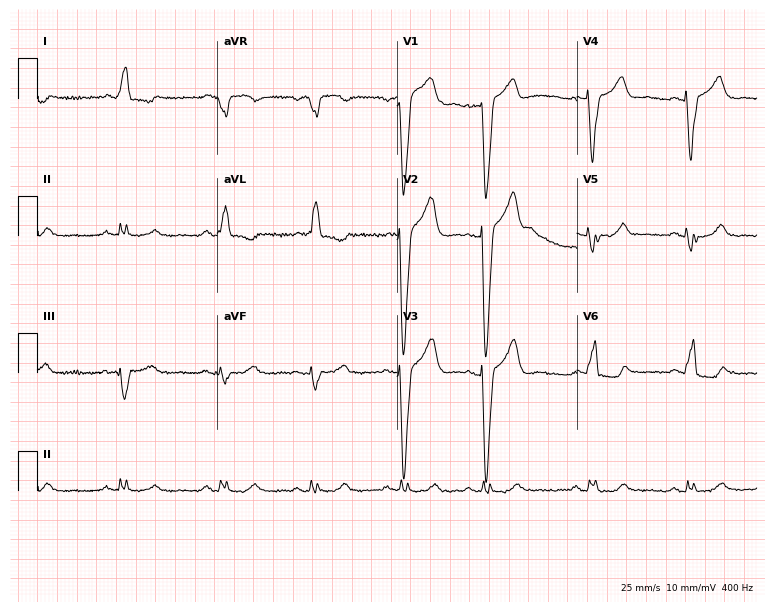
Electrocardiogram, an 83-year-old male. Interpretation includes left bundle branch block (LBBB).